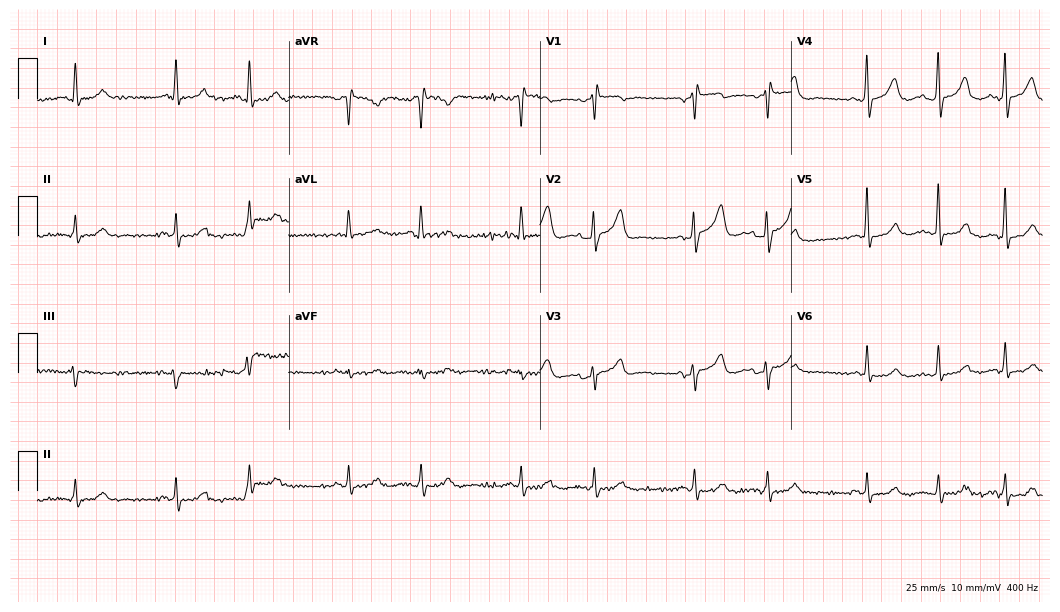
Resting 12-lead electrocardiogram (10.2-second recording at 400 Hz). Patient: a male, 63 years old. None of these six findings is recorded: first-degree AV block, right bundle branch block, left bundle branch block, sinus bradycardia, atrial fibrillation, sinus tachycardia.